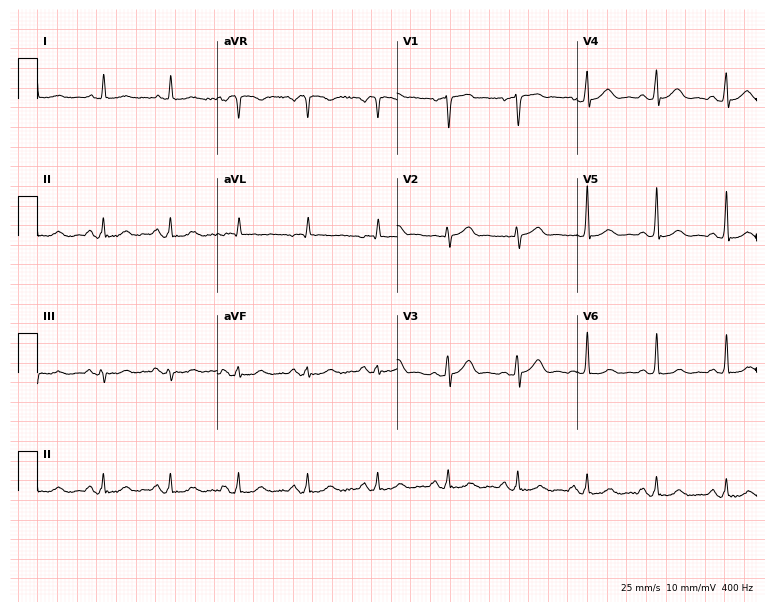
12-lead ECG from a male patient, 77 years old. No first-degree AV block, right bundle branch block, left bundle branch block, sinus bradycardia, atrial fibrillation or sinus tachycardia recorded for this tracing. Findings outside these six are not listed.